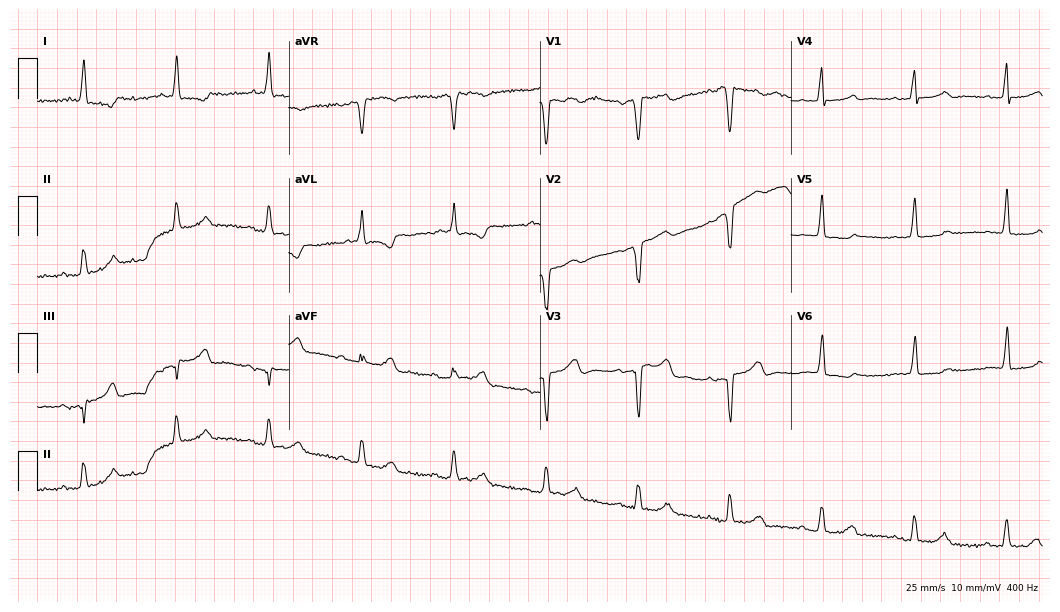
Electrocardiogram (10.2-second recording at 400 Hz), a 78-year-old female patient. Of the six screened findings (first-degree AV block, right bundle branch block (RBBB), left bundle branch block (LBBB), sinus bradycardia, atrial fibrillation (AF), sinus tachycardia), none is recorded. Findings outside these six are not listed.